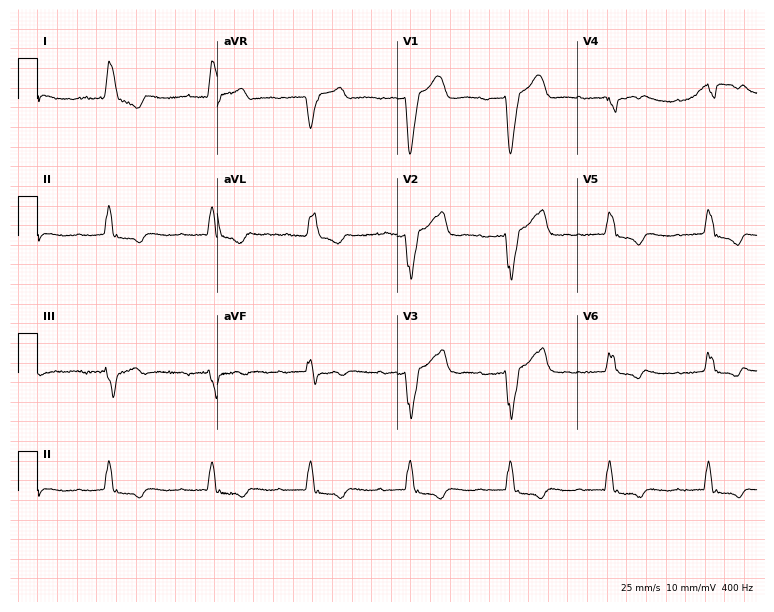
Electrocardiogram (7.3-second recording at 400 Hz), a 78-year-old male patient. Interpretation includes first-degree AV block, left bundle branch block.